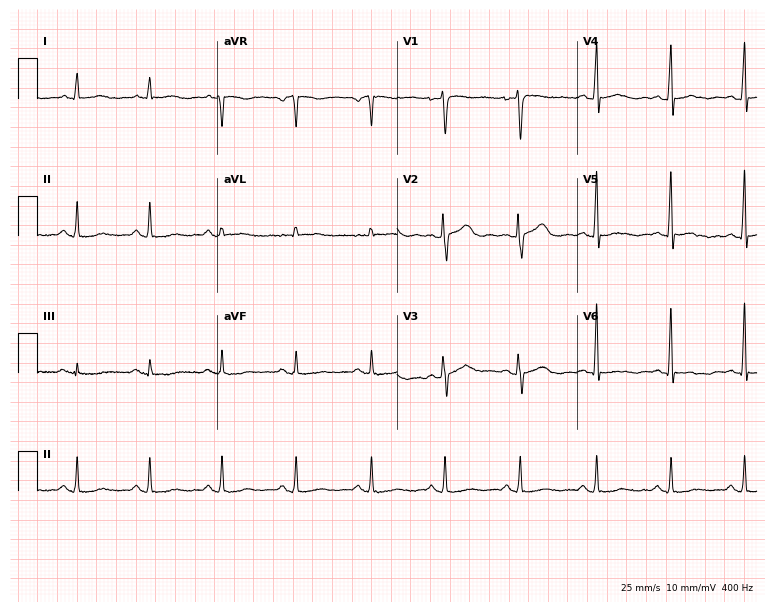
12-lead ECG from a female, 52 years old. No first-degree AV block, right bundle branch block, left bundle branch block, sinus bradycardia, atrial fibrillation or sinus tachycardia recorded for this tracing. Findings outside these six are not listed.